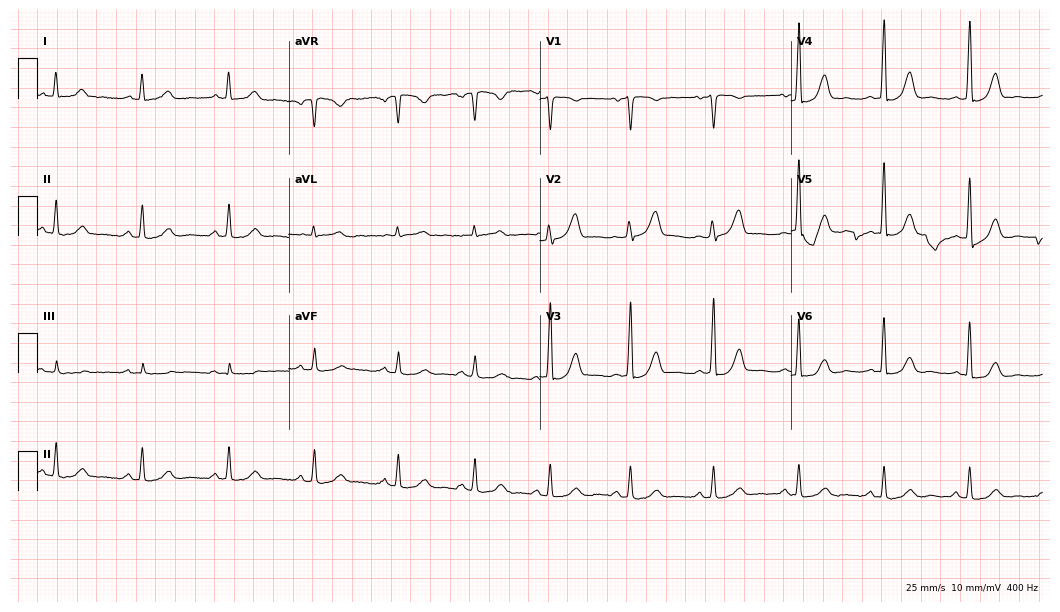
Standard 12-lead ECG recorded from a 56-year-old woman. Read as a normal ECG.